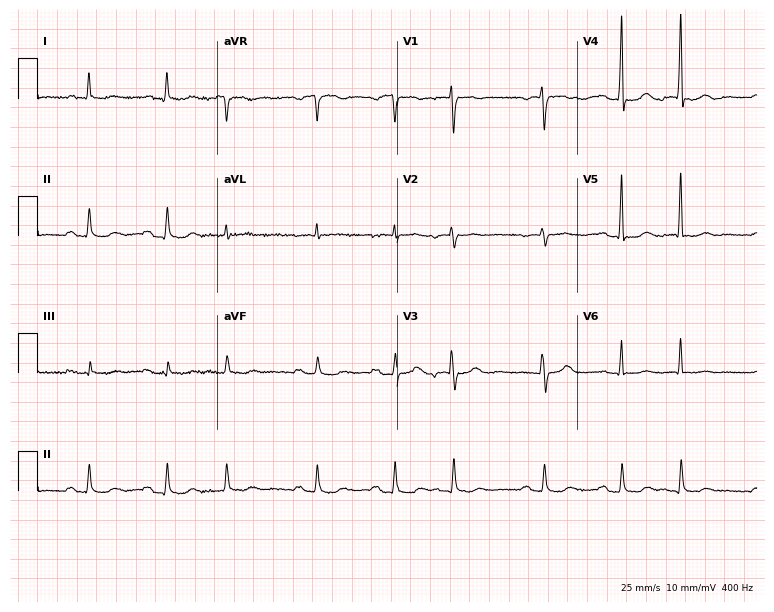
Resting 12-lead electrocardiogram. Patient: a female, 82 years old. None of these six findings is recorded: first-degree AV block, right bundle branch block, left bundle branch block, sinus bradycardia, atrial fibrillation, sinus tachycardia. Other findings, if any, are not listed.